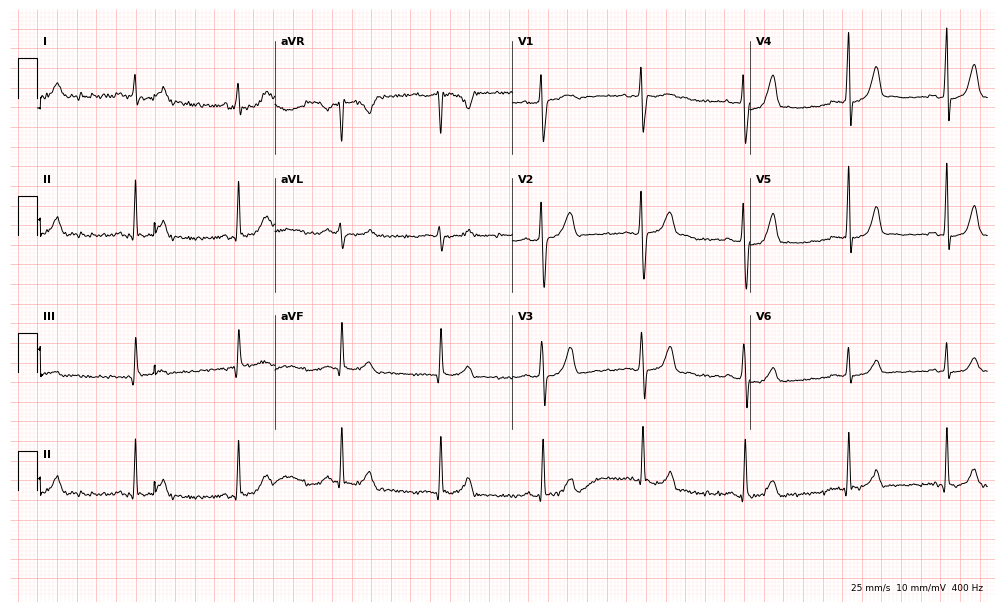
12-lead ECG from a male, 25 years old (9.7-second recording at 400 Hz). Recorded interpretation: within normal limits.